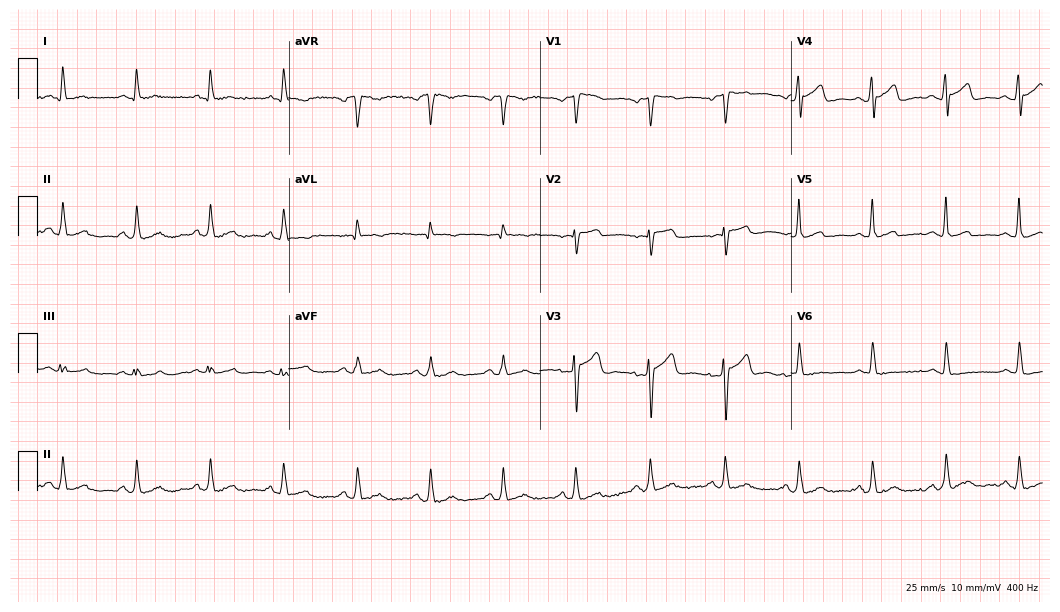
12-lead ECG (10.2-second recording at 400 Hz) from a male patient, 54 years old. Labelled as a normal ECG.